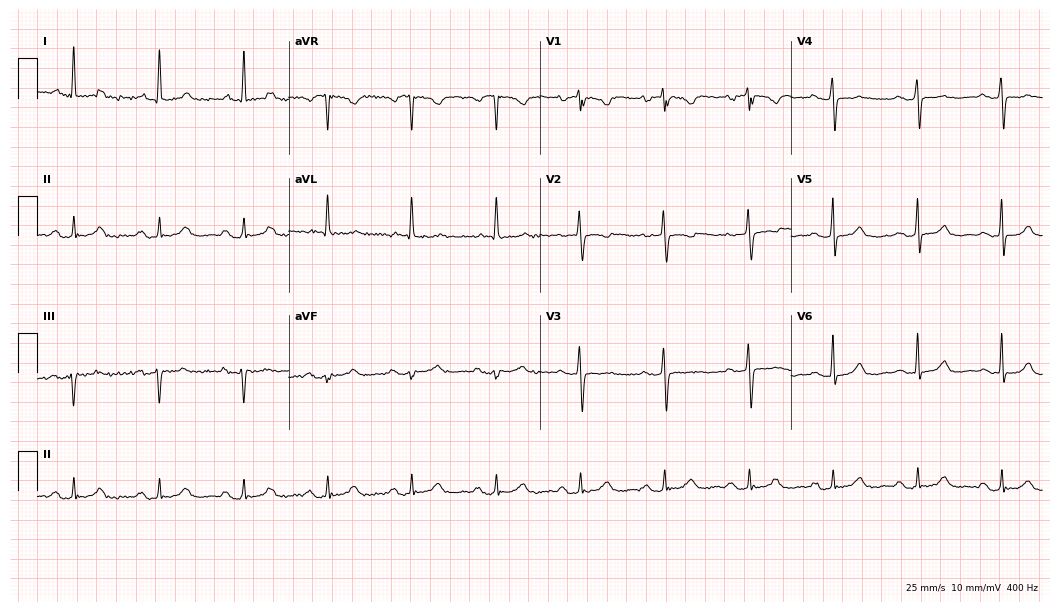
12-lead ECG from a 72-year-old female (10.2-second recording at 400 Hz). No first-degree AV block, right bundle branch block, left bundle branch block, sinus bradycardia, atrial fibrillation or sinus tachycardia recorded for this tracing.